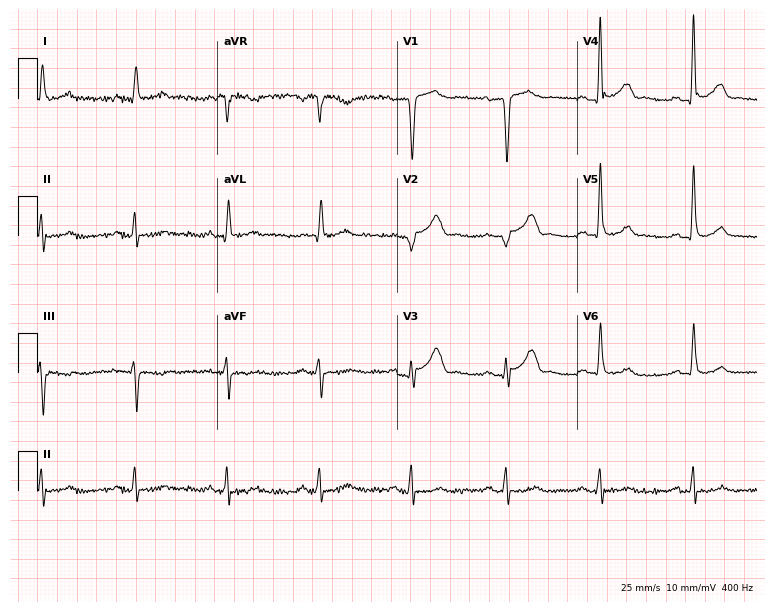
Resting 12-lead electrocardiogram. Patient: a man, 78 years old. None of these six findings is recorded: first-degree AV block, right bundle branch block, left bundle branch block, sinus bradycardia, atrial fibrillation, sinus tachycardia. Other findings, if any, are not listed.